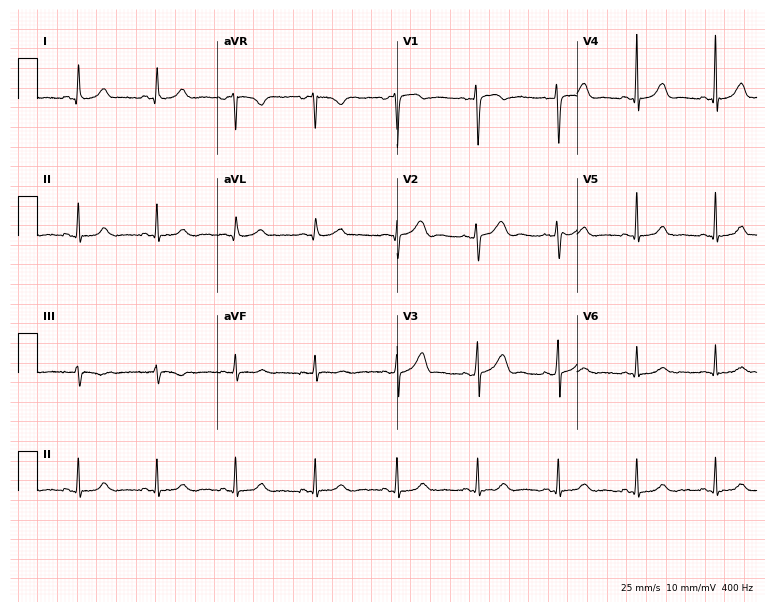
Standard 12-lead ECG recorded from a female, 36 years old. Read as a normal ECG.